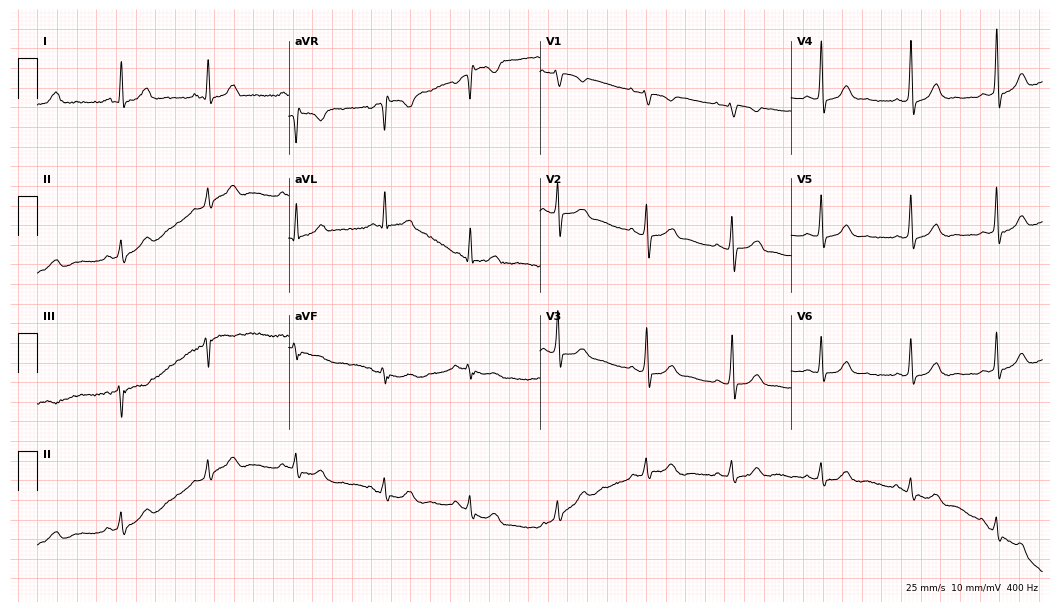
ECG (10.2-second recording at 400 Hz) — a 39-year-old female. Labelled as a normal ECG.